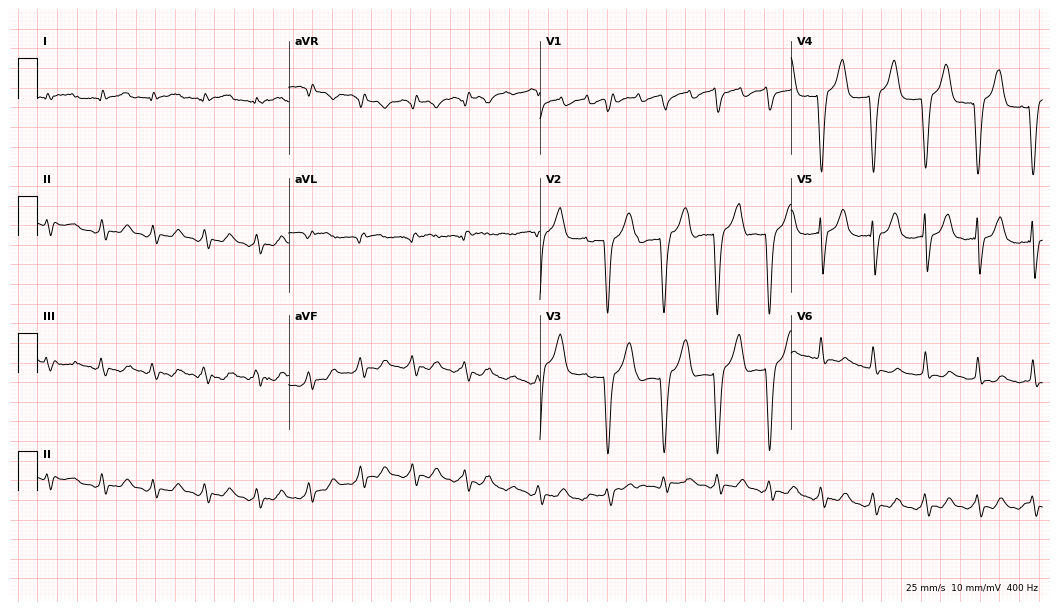
Resting 12-lead electrocardiogram (10.2-second recording at 400 Hz). Patient: an 84-year-old male. None of these six findings is recorded: first-degree AV block, right bundle branch block, left bundle branch block, sinus bradycardia, atrial fibrillation, sinus tachycardia.